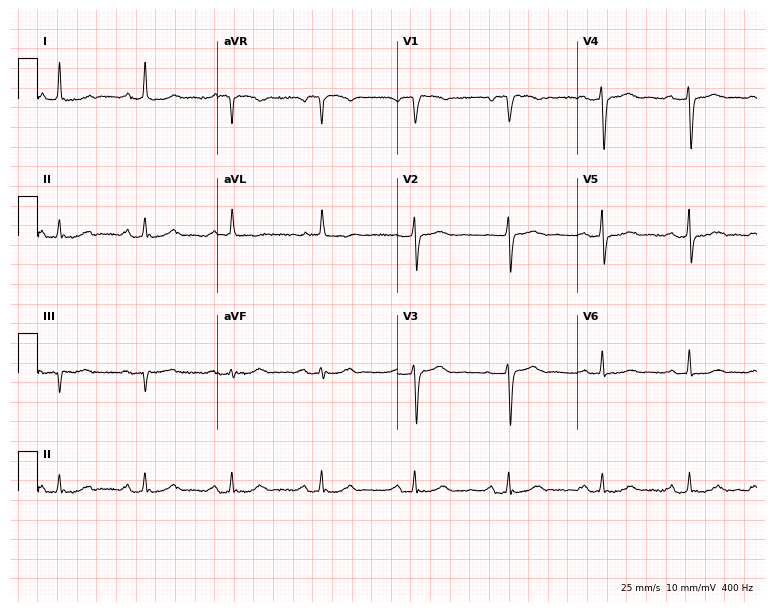
Resting 12-lead electrocardiogram. Patient: a woman, 53 years old. None of these six findings is recorded: first-degree AV block, right bundle branch block (RBBB), left bundle branch block (LBBB), sinus bradycardia, atrial fibrillation (AF), sinus tachycardia. Only these six findings were labelled.